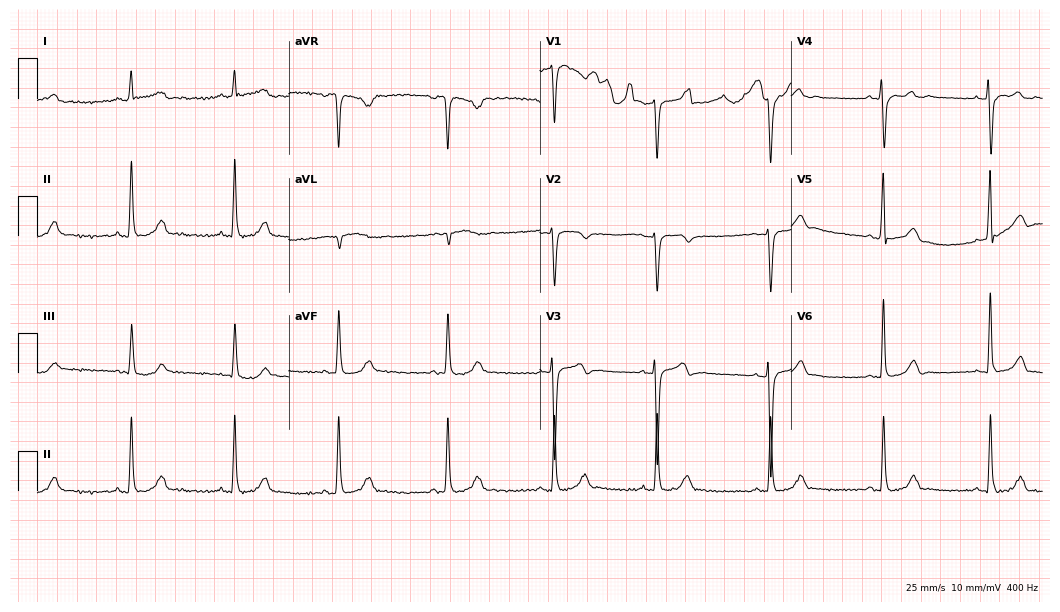
12-lead ECG from a male, 36 years old. Recorded interpretation: within normal limits.